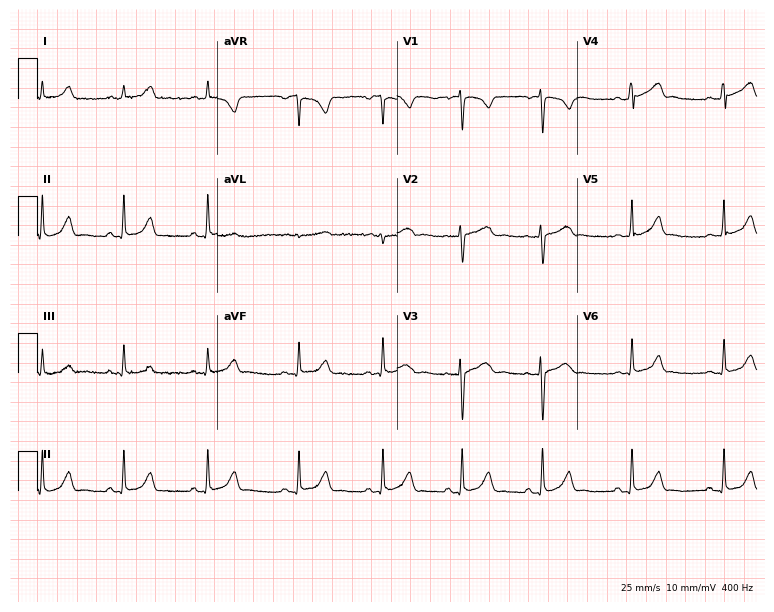
Standard 12-lead ECG recorded from a 19-year-old woman (7.3-second recording at 400 Hz). Read as a normal ECG.